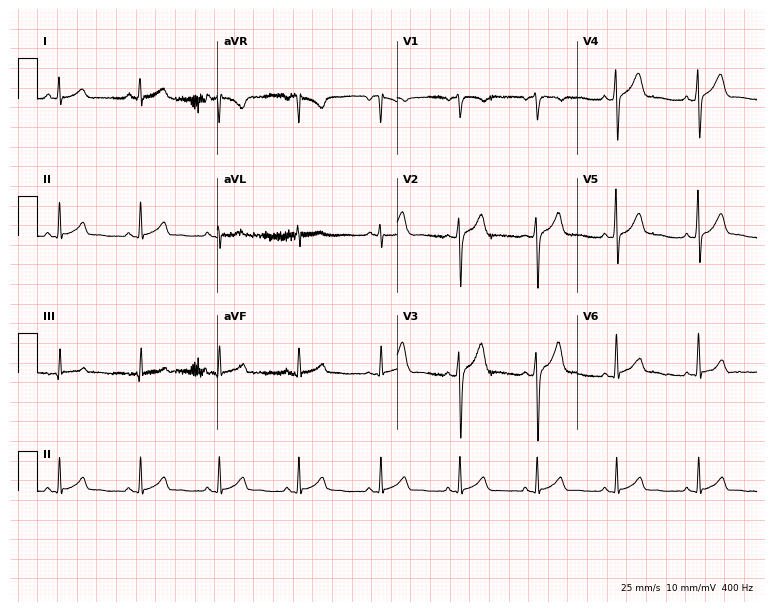
Electrocardiogram, a 28-year-old male. Overall reading on record: normal ECG.